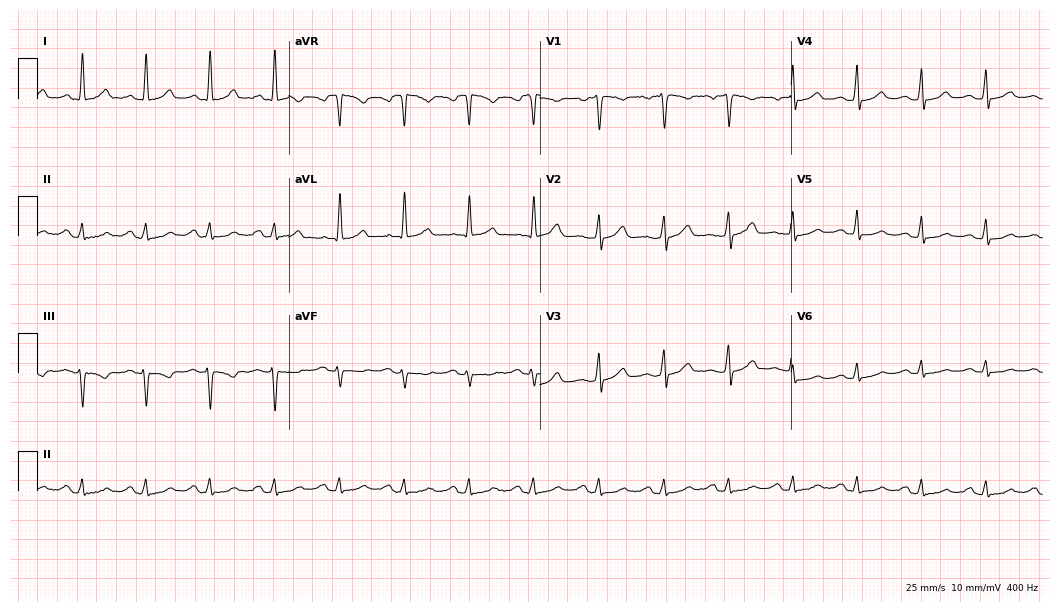
Electrocardiogram (10.2-second recording at 400 Hz), a female patient, 59 years old. Overall reading on record: normal ECG.